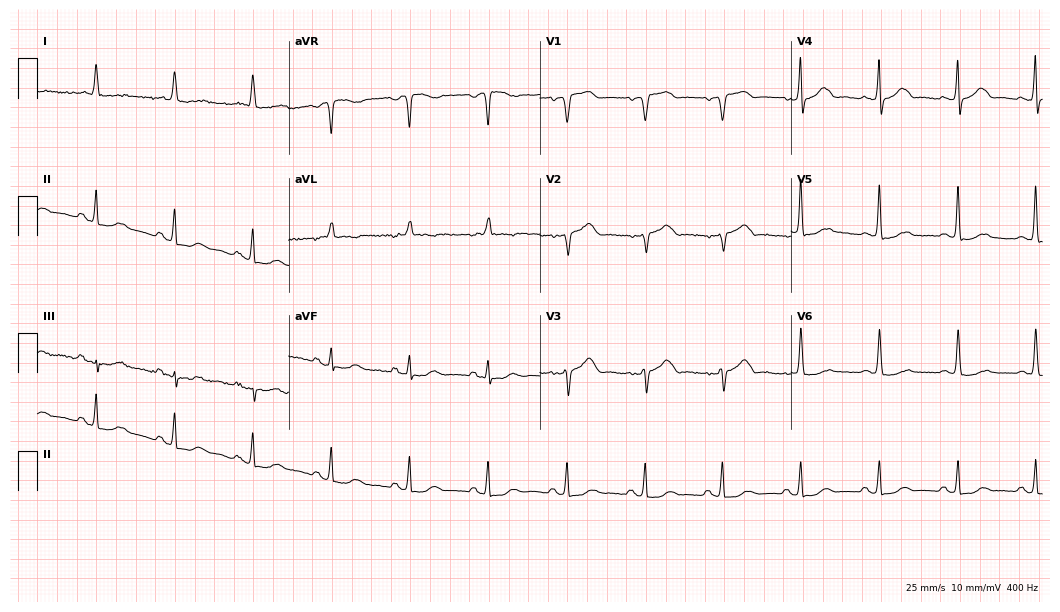
Electrocardiogram, a woman, 85 years old. Overall reading on record: normal ECG.